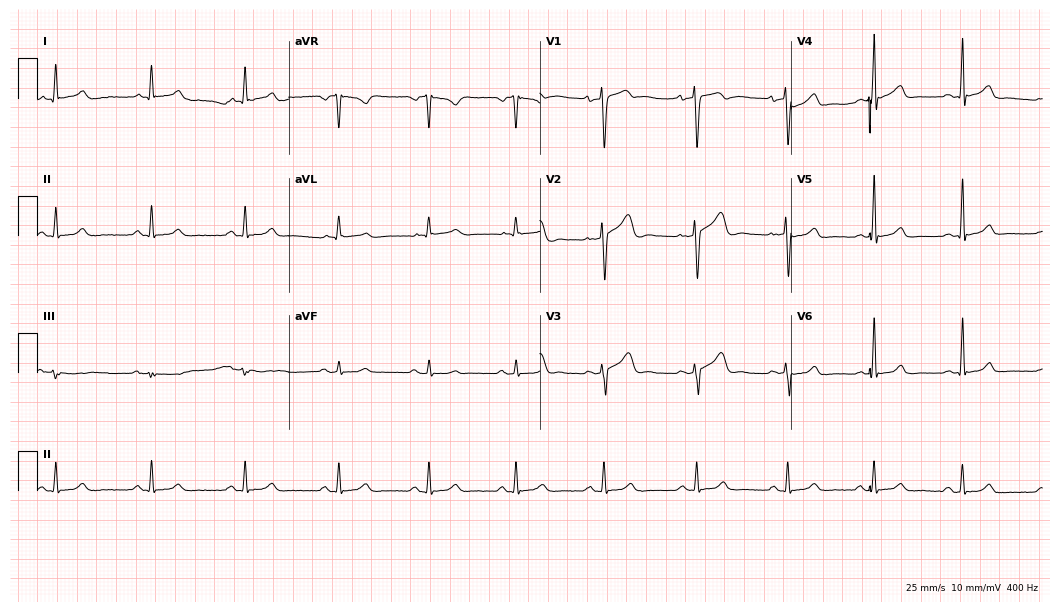
Resting 12-lead electrocardiogram. Patient: a 22-year-old male. Read as a normal ECG.